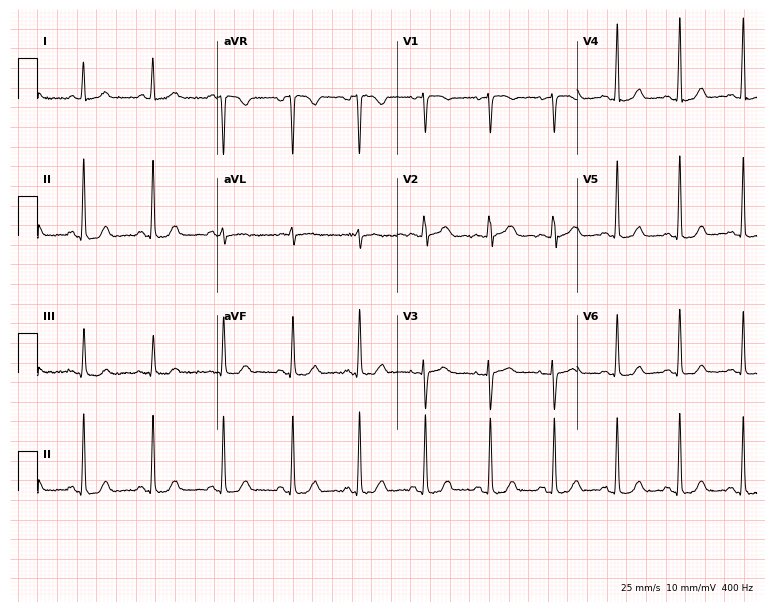
12-lead ECG from a female patient, 51 years old. Labelled as a normal ECG.